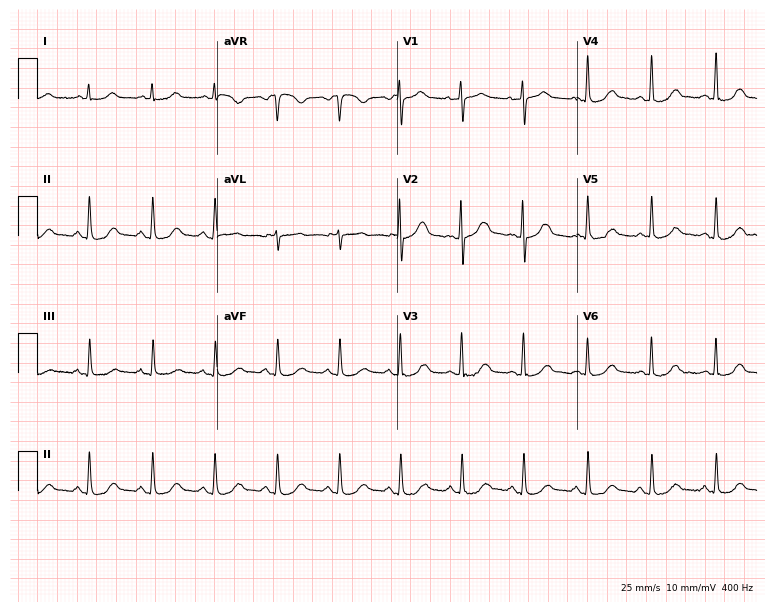
12-lead ECG from a 79-year-old female (7.3-second recording at 400 Hz). No first-degree AV block, right bundle branch block, left bundle branch block, sinus bradycardia, atrial fibrillation or sinus tachycardia recorded for this tracing.